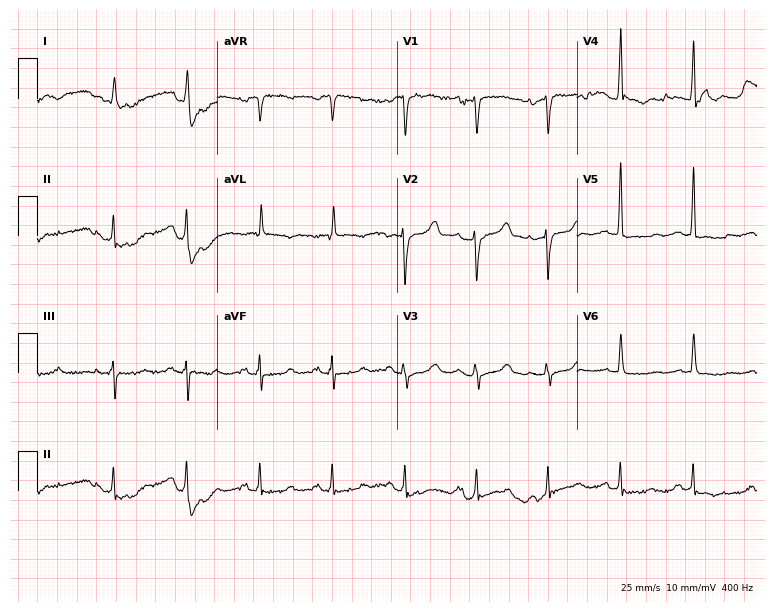
Resting 12-lead electrocardiogram (7.3-second recording at 400 Hz). Patient: a 75-year-old woman. None of these six findings is recorded: first-degree AV block, right bundle branch block (RBBB), left bundle branch block (LBBB), sinus bradycardia, atrial fibrillation (AF), sinus tachycardia. Only these six findings were labelled.